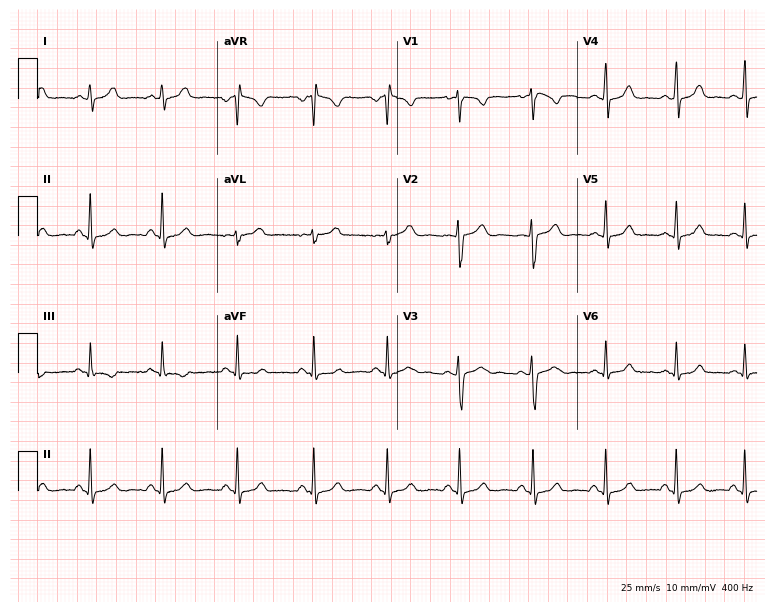
ECG — a woman, 27 years old. Screened for six findings — first-degree AV block, right bundle branch block, left bundle branch block, sinus bradycardia, atrial fibrillation, sinus tachycardia — none is recorded. Only these six findings were labelled.